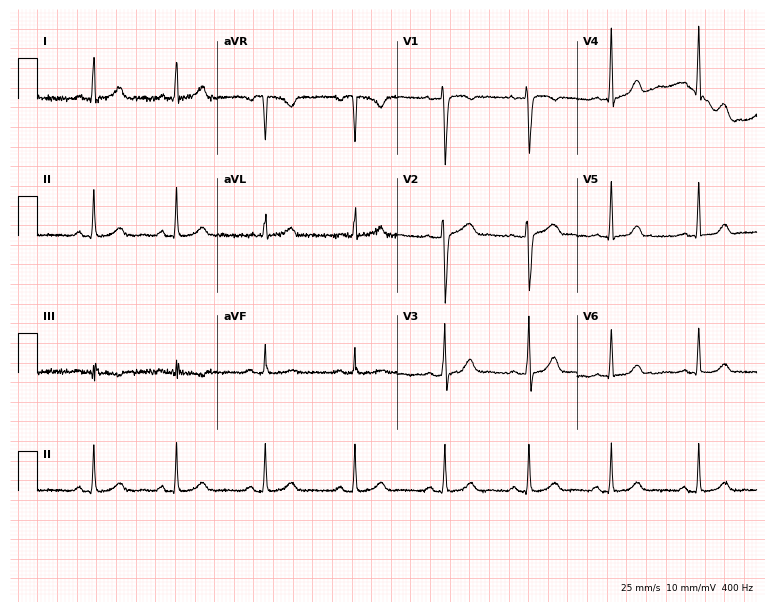
12-lead ECG (7.3-second recording at 400 Hz) from a 37-year-old female patient. Screened for six findings — first-degree AV block, right bundle branch block, left bundle branch block, sinus bradycardia, atrial fibrillation, sinus tachycardia — none is recorded. Other findings, if any, are not listed.